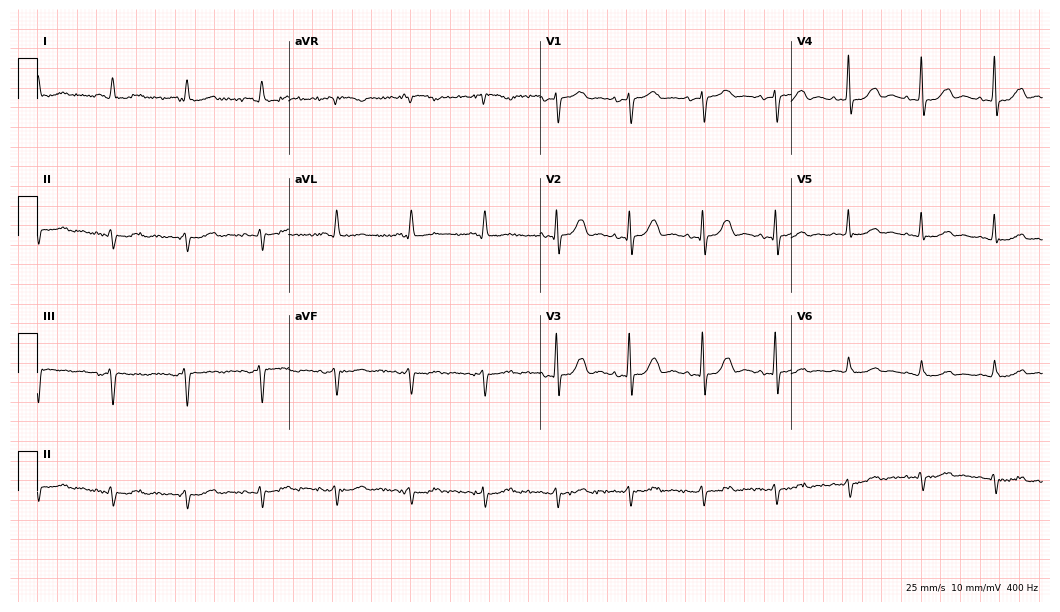
Standard 12-lead ECG recorded from a female, 81 years old (10.2-second recording at 400 Hz). None of these six findings is recorded: first-degree AV block, right bundle branch block, left bundle branch block, sinus bradycardia, atrial fibrillation, sinus tachycardia. Only these six findings were labelled.